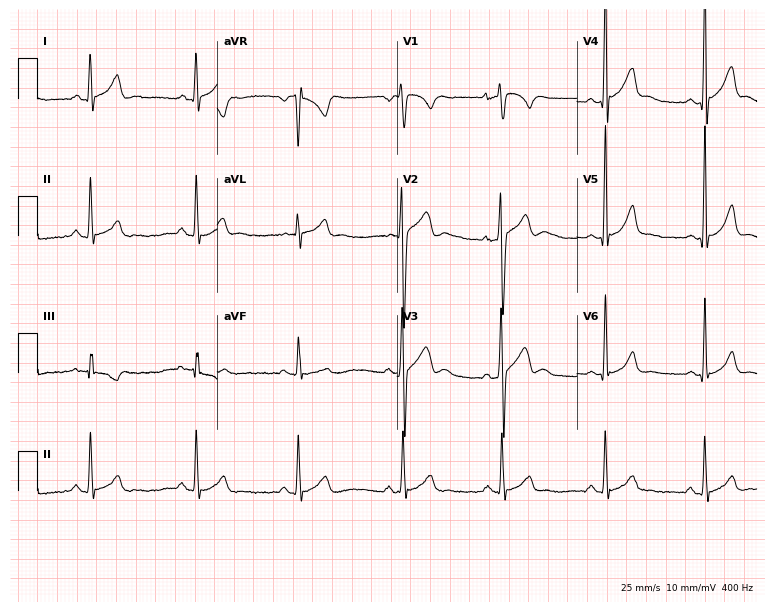
12-lead ECG from a 19-year-old male (7.3-second recording at 400 Hz). Recorded interpretation: within normal limits.